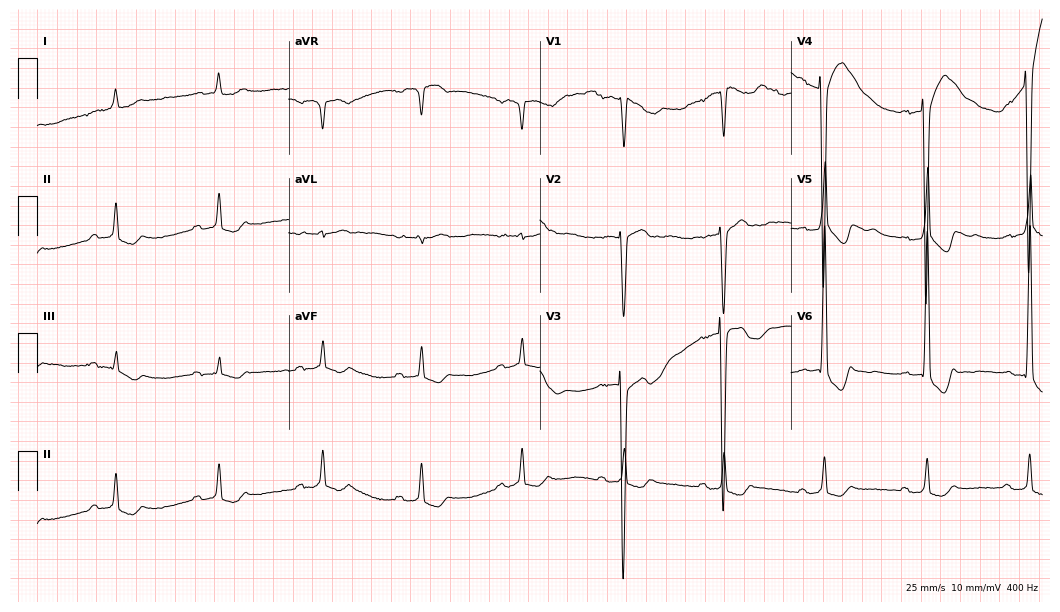
12-lead ECG from a female, 79 years old. No first-degree AV block, right bundle branch block, left bundle branch block, sinus bradycardia, atrial fibrillation or sinus tachycardia recorded for this tracing.